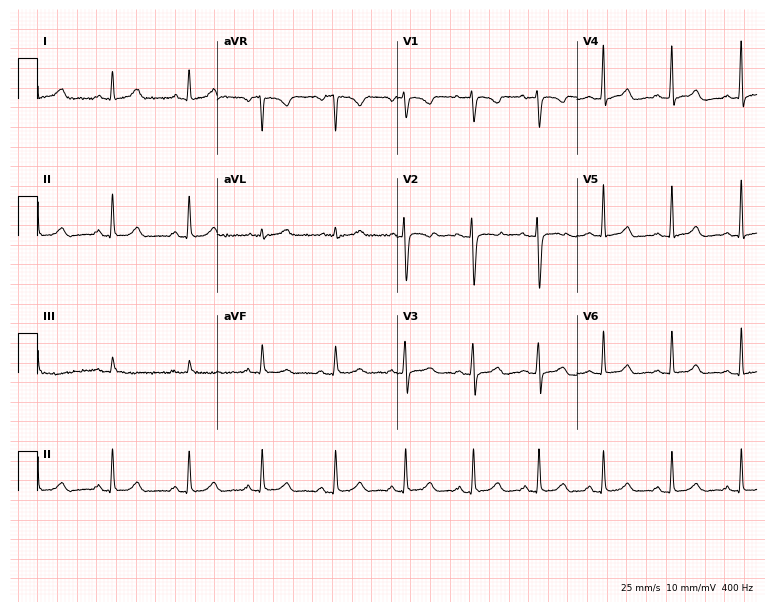
Standard 12-lead ECG recorded from a 28-year-old female patient (7.3-second recording at 400 Hz). None of these six findings is recorded: first-degree AV block, right bundle branch block, left bundle branch block, sinus bradycardia, atrial fibrillation, sinus tachycardia.